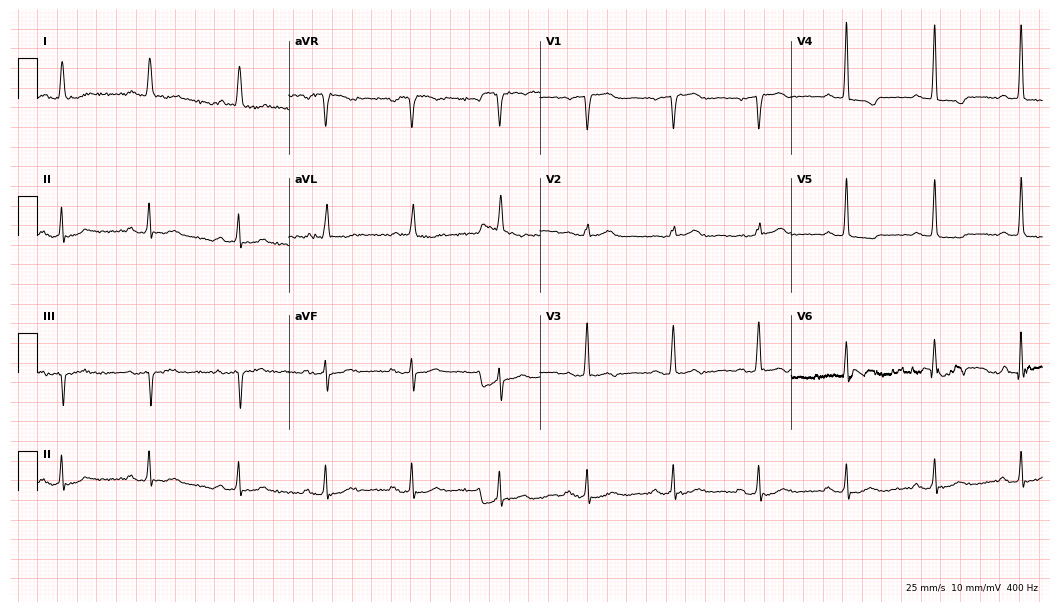
12-lead ECG from an 85-year-old female patient. Labelled as a normal ECG.